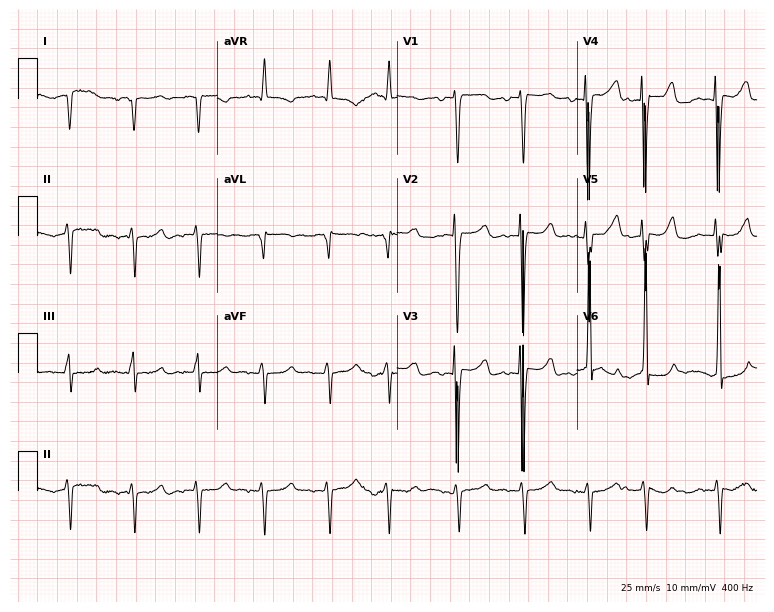
12-lead ECG (7.3-second recording at 400 Hz) from an 85-year-old male patient. Screened for six findings — first-degree AV block, right bundle branch block (RBBB), left bundle branch block (LBBB), sinus bradycardia, atrial fibrillation (AF), sinus tachycardia — none is recorded. Only these six findings were labelled.